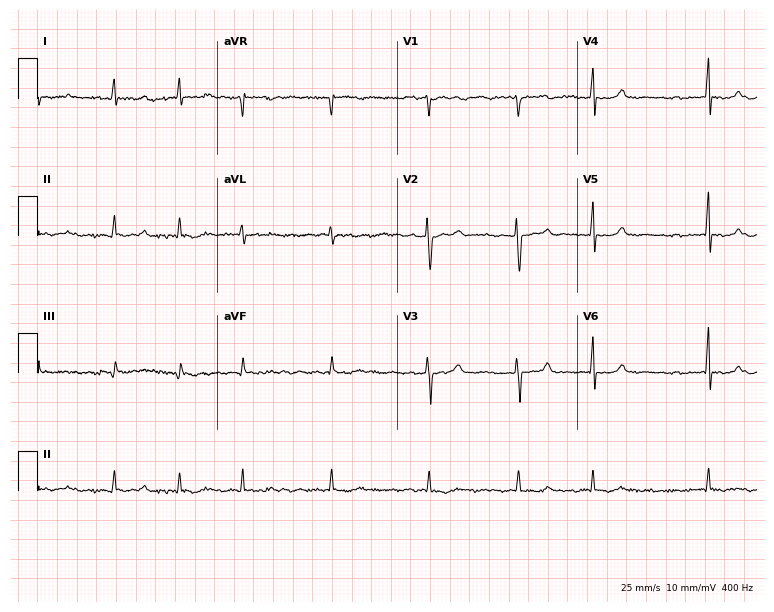
ECG (7.3-second recording at 400 Hz) — a male, 67 years old. Findings include atrial fibrillation.